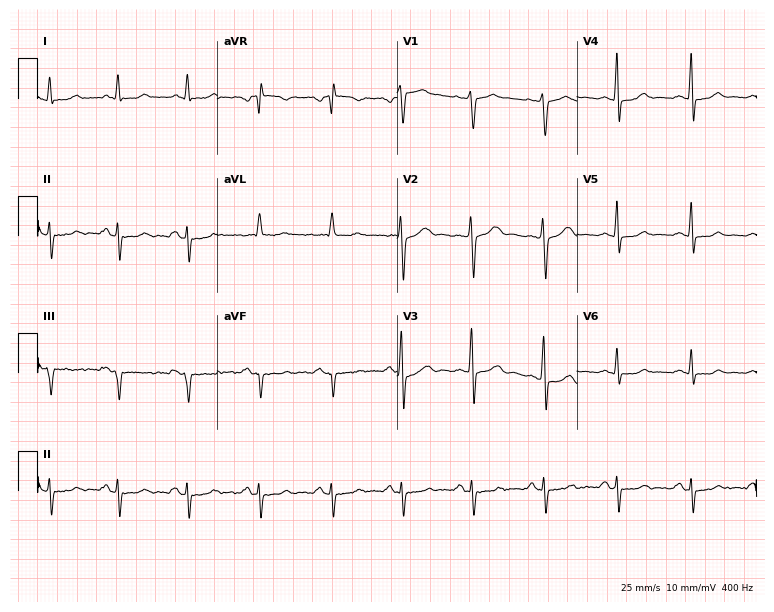
Resting 12-lead electrocardiogram (7.3-second recording at 400 Hz). Patient: a 57-year-old woman. None of these six findings is recorded: first-degree AV block, right bundle branch block, left bundle branch block, sinus bradycardia, atrial fibrillation, sinus tachycardia.